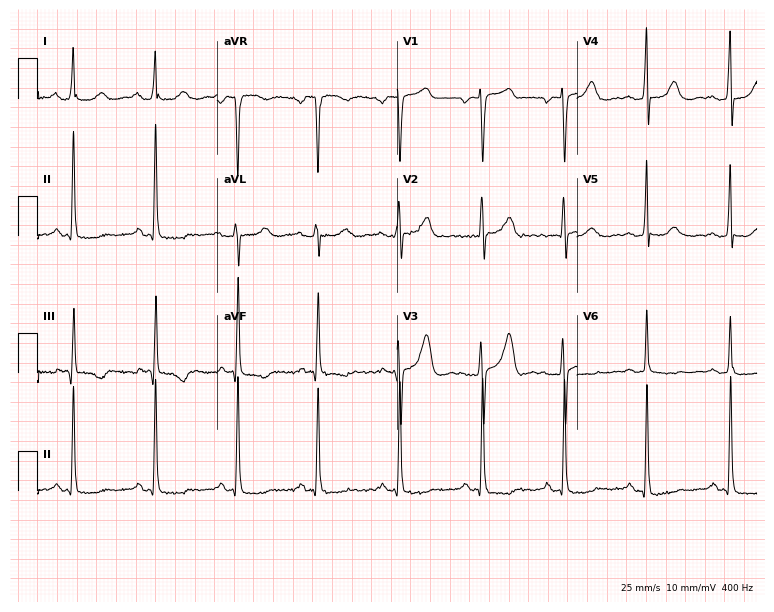
12-lead ECG from a female patient, 65 years old. Screened for six findings — first-degree AV block, right bundle branch block, left bundle branch block, sinus bradycardia, atrial fibrillation, sinus tachycardia — none is recorded. Only these six findings were labelled.